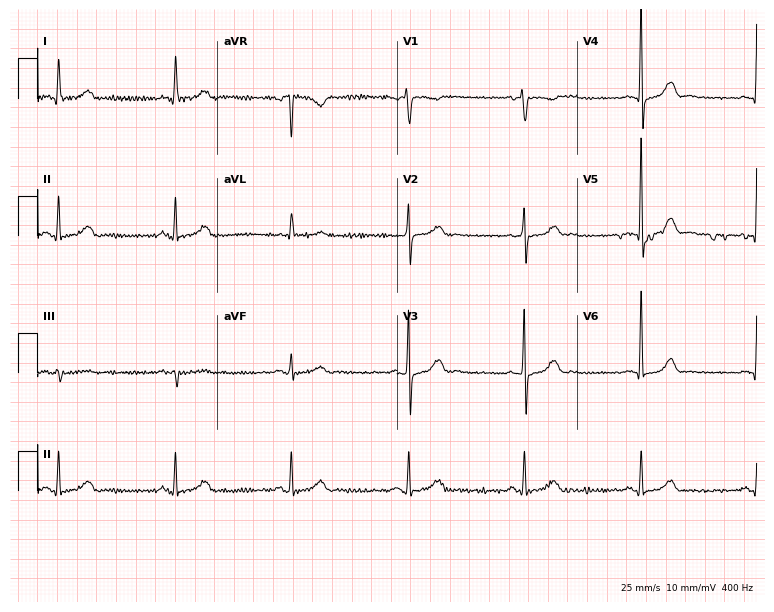
Resting 12-lead electrocardiogram. Patient: a 79-year-old female. The tracing shows sinus bradycardia (a sinus rate of 50 beats per minute or less).